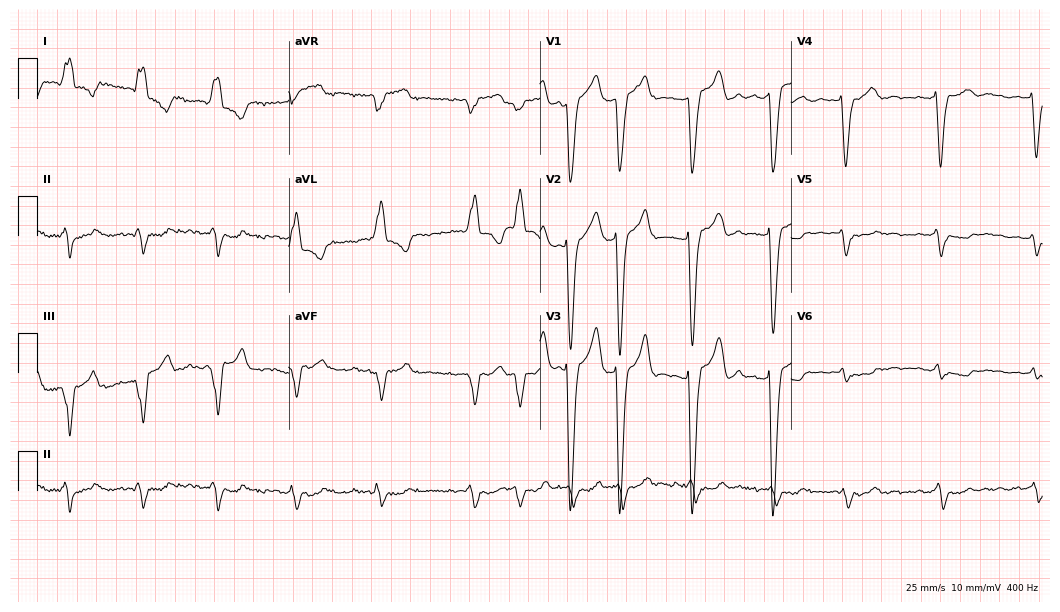
Resting 12-lead electrocardiogram. Patient: a 70-year-old female. None of these six findings is recorded: first-degree AV block, right bundle branch block, left bundle branch block, sinus bradycardia, atrial fibrillation, sinus tachycardia.